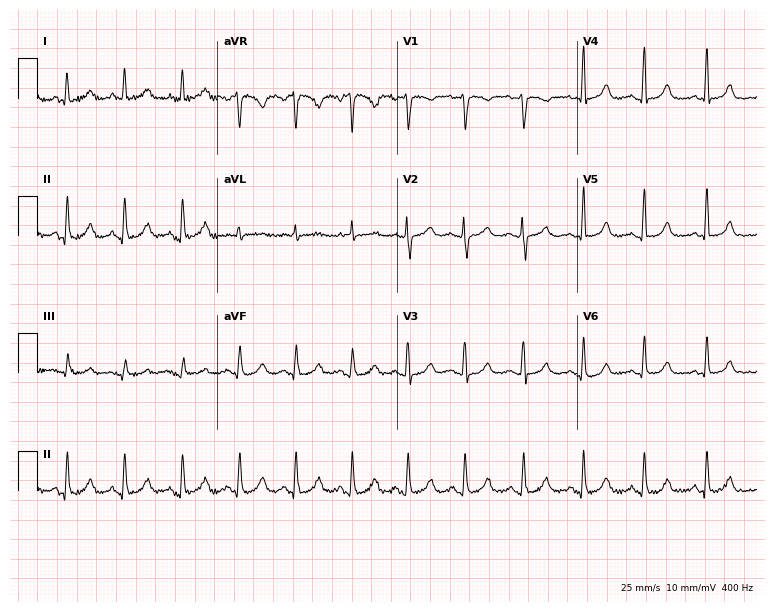
12-lead ECG from a 65-year-old woman. Shows sinus tachycardia (a sinus rate of 100 beats per minute or more).